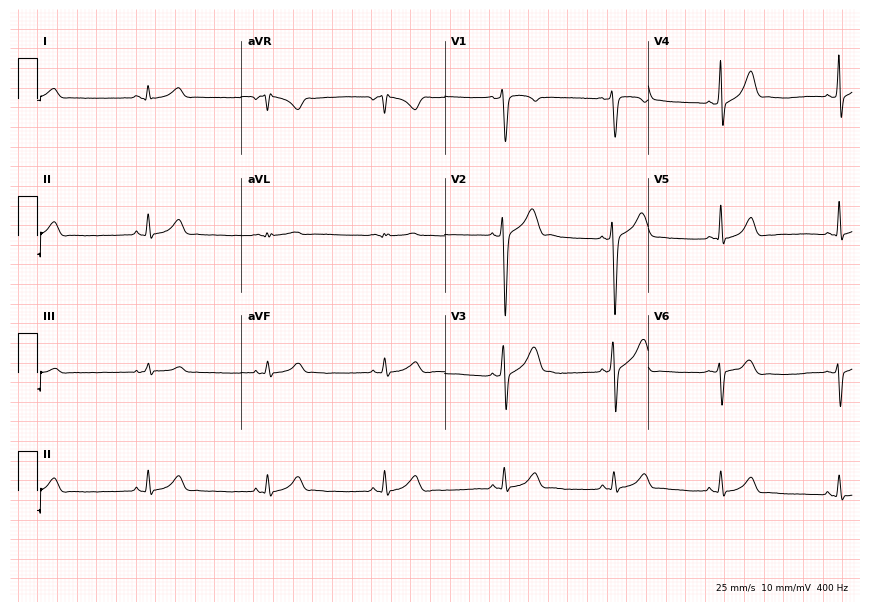
Resting 12-lead electrocardiogram. Patient: a male, 25 years old. Read as a normal ECG.